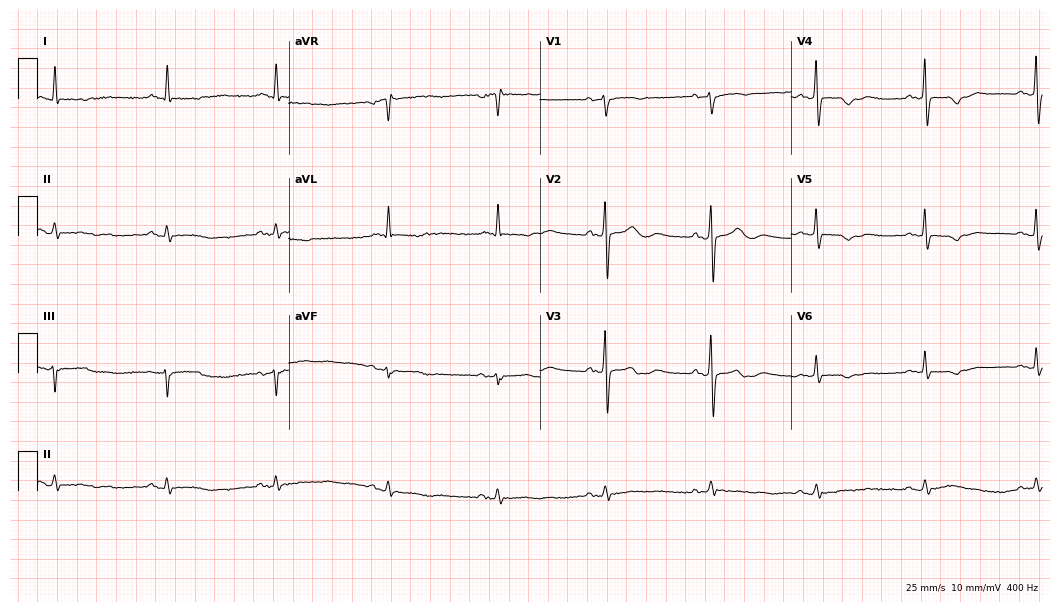
Standard 12-lead ECG recorded from a man, 77 years old (10.2-second recording at 400 Hz). None of these six findings is recorded: first-degree AV block, right bundle branch block (RBBB), left bundle branch block (LBBB), sinus bradycardia, atrial fibrillation (AF), sinus tachycardia. Only these six findings were labelled.